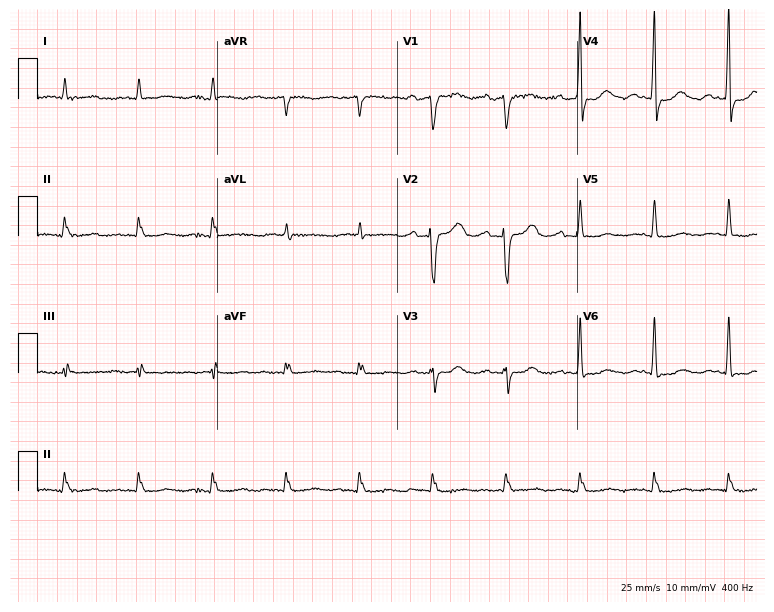
12-lead ECG from an 80-year-old male (7.3-second recording at 400 Hz). Recorded interpretation: within normal limits.